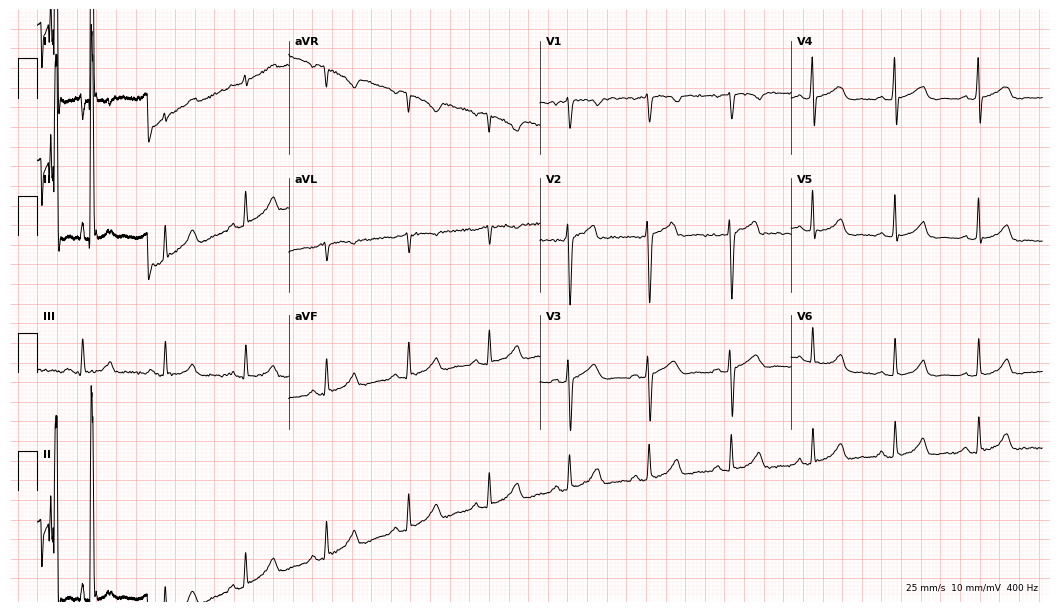
Resting 12-lead electrocardiogram. Patient: a man, 47 years old. Read as a normal ECG.